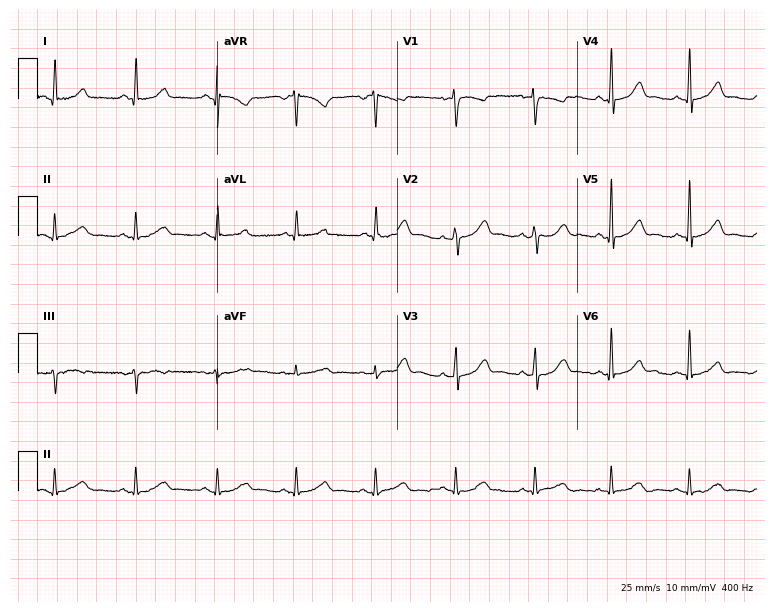
ECG — a 44-year-old woman. Screened for six findings — first-degree AV block, right bundle branch block, left bundle branch block, sinus bradycardia, atrial fibrillation, sinus tachycardia — none is recorded.